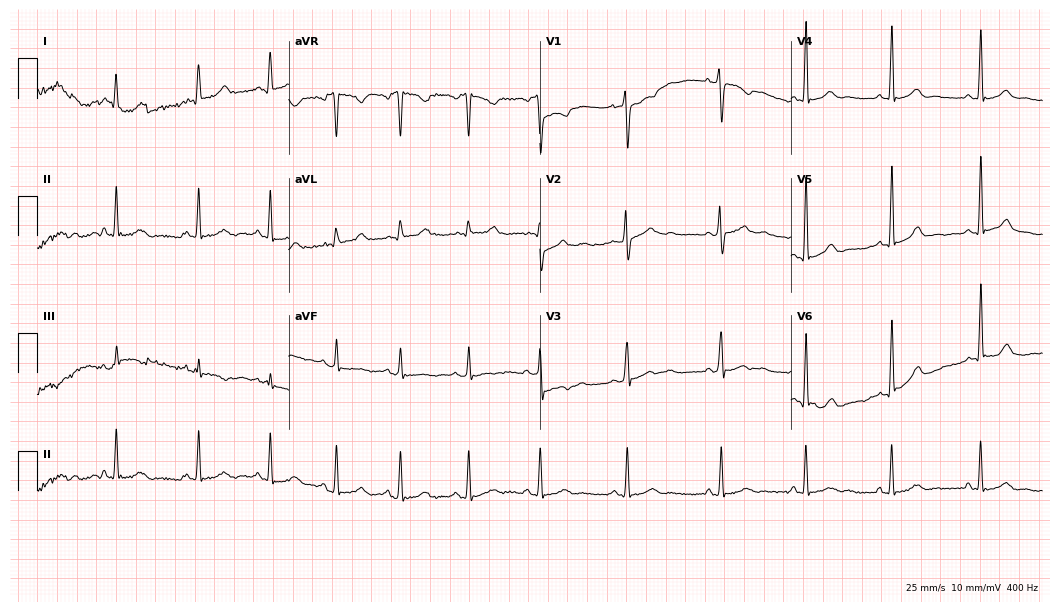
Resting 12-lead electrocardiogram (10.2-second recording at 400 Hz). Patient: a woman, 27 years old. Read as a normal ECG.